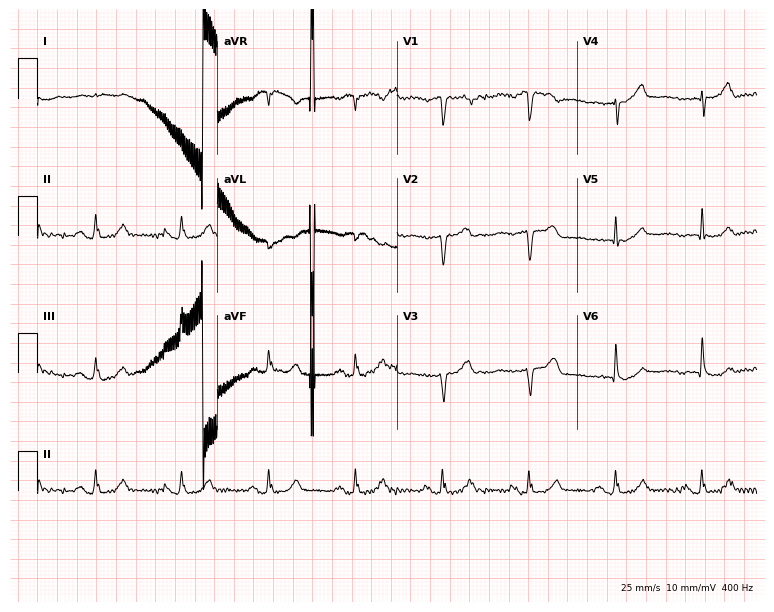
12-lead ECG (7.3-second recording at 400 Hz) from an 84-year-old male patient. Screened for six findings — first-degree AV block, right bundle branch block, left bundle branch block, sinus bradycardia, atrial fibrillation, sinus tachycardia — none is recorded. Findings outside these six are not listed.